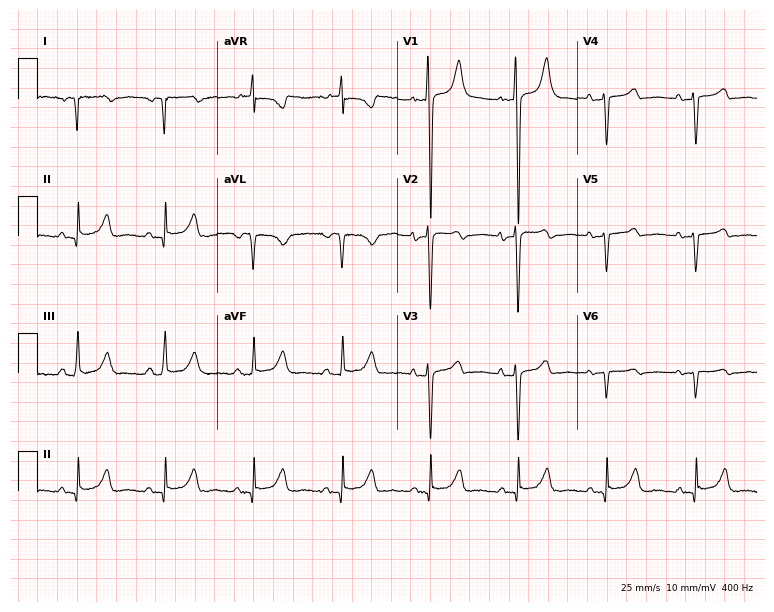
12-lead ECG from a male patient, 42 years old. No first-degree AV block, right bundle branch block, left bundle branch block, sinus bradycardia, atrial fibrillation or sinus tachycardia recorded for this tracing. Other findings, if any, are not listed.